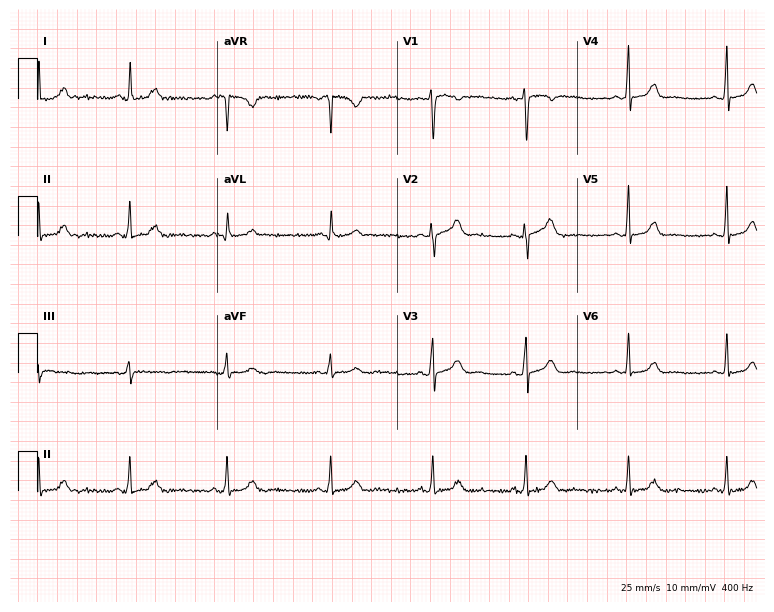
12-lead ECG from a 24-year-old woman. Recorded interpretation: within normal limits.